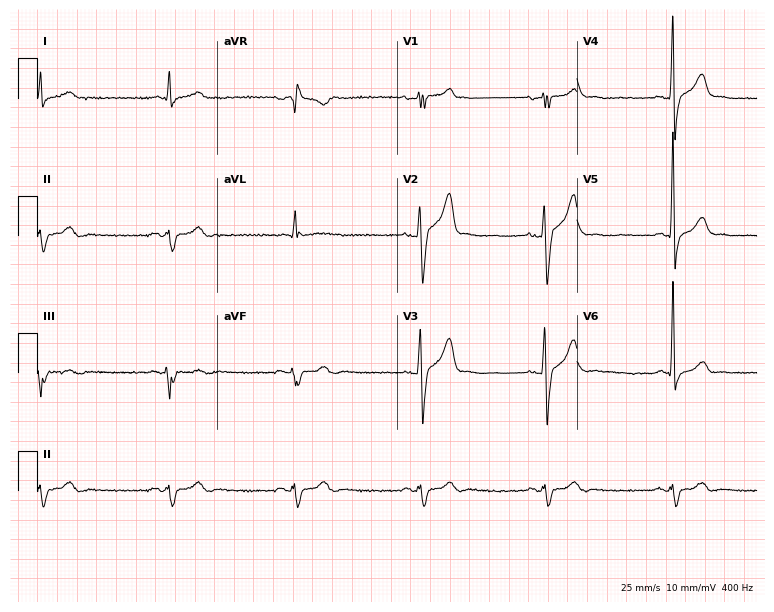
Standard 12-lead ECG recorded from a male, 56 years old (7.3-second recording at 400 Hz). None of these six findings is recorded: first-degree AV block, right bundle branch block, left bundle branch block, sinus bradycardia, atrial fibrillation, sinus tachycardia.